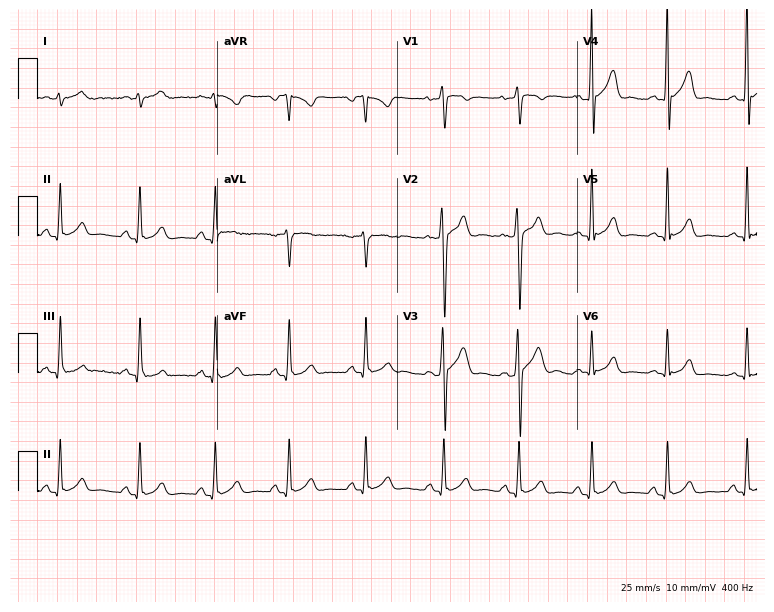
12-lead ECG from a 29-year-old male patient. Screened for six findings — first-degree AV block, right bundle branch block (RBBB), left bundle branch block (LBBB), sinus bradycardia, atrial fibrillation (AF), sinus tachycardia — none is recorded. Findings outside these six are not listed.